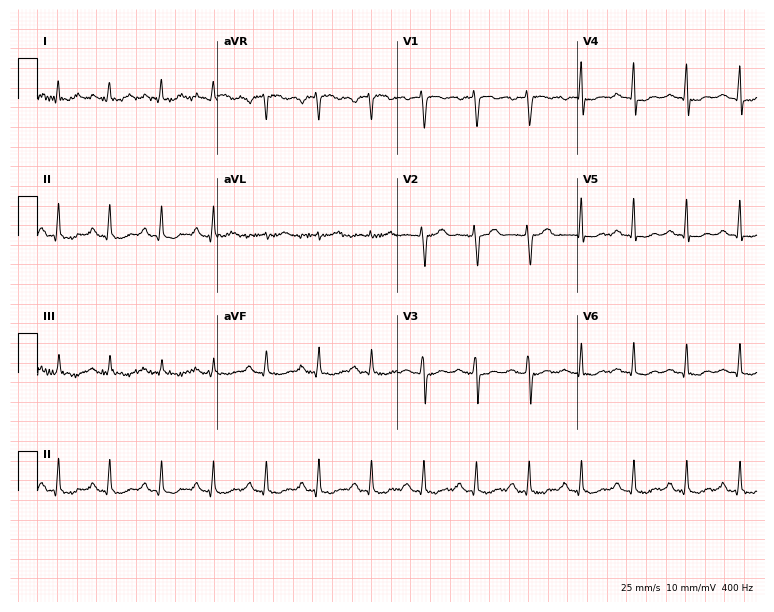
Electrocardiogram, a 48-year-old female patient. Interpretation includes sinus tachycardia (a sinus rate of 100 beats per minute or more).